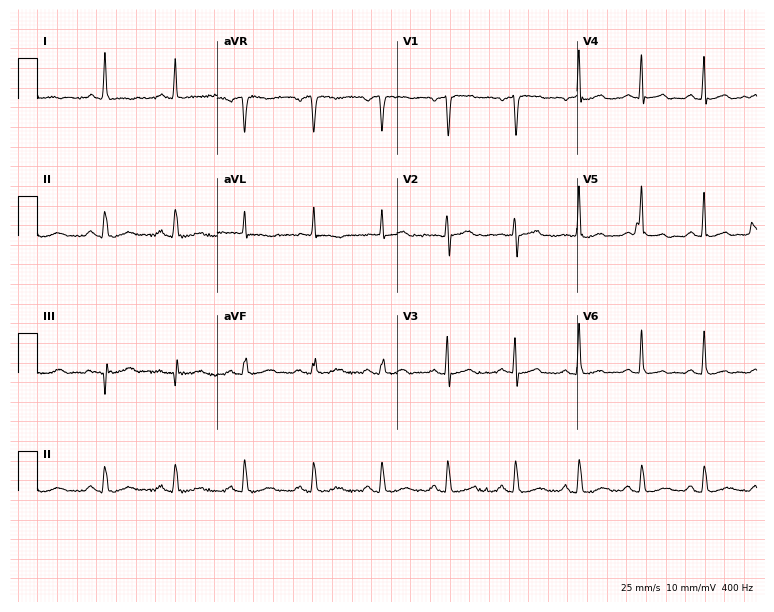
Electrocardiogram (7.3-second recording at 400 Hz), a 78-year-old female patient. Overall reading on record: normal ECG.